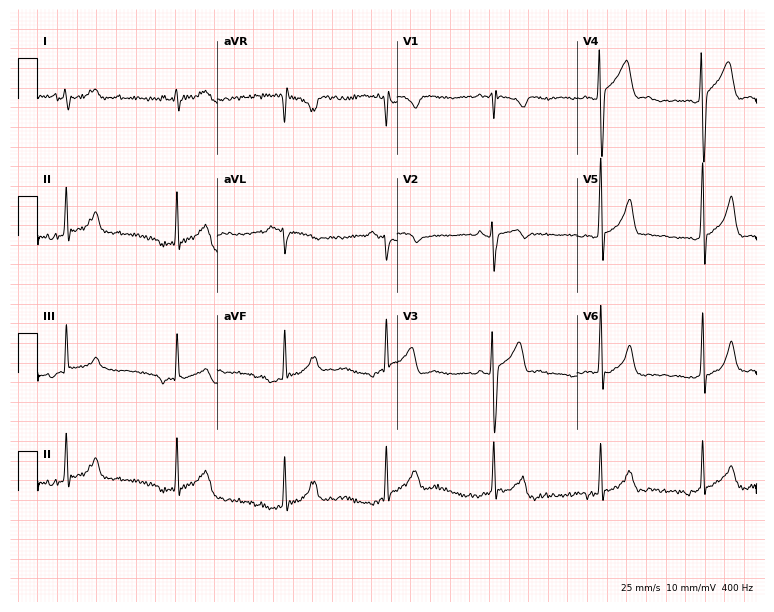
ECG (7.3-second recording at 400 Hz) — a 21-year-old man. Screened for six findings — first-degree AV block, right bundle branch block, left bundle branch block, sinus bradycardia, atrial fibrillation, sinus tachycardia — none is recorded.